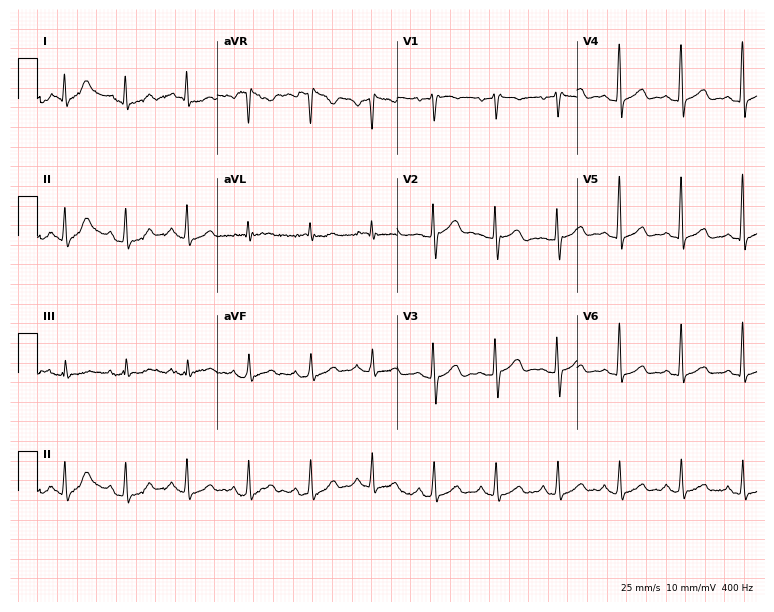
ECG (7.3-second recording at 400 Hz) — a woman, 64 years old. Labelled as a normal ECG.